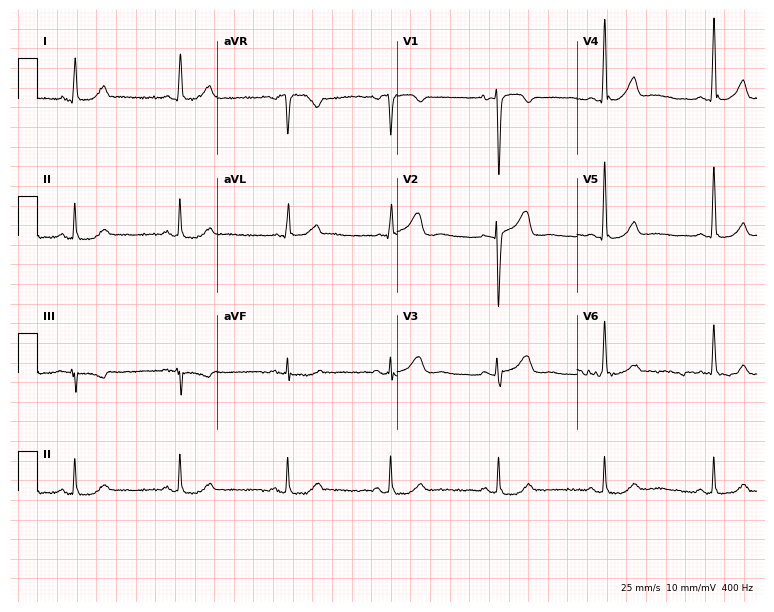
12-lead ECG from a 62-year-old male patient. Labelled as a normal ECG.